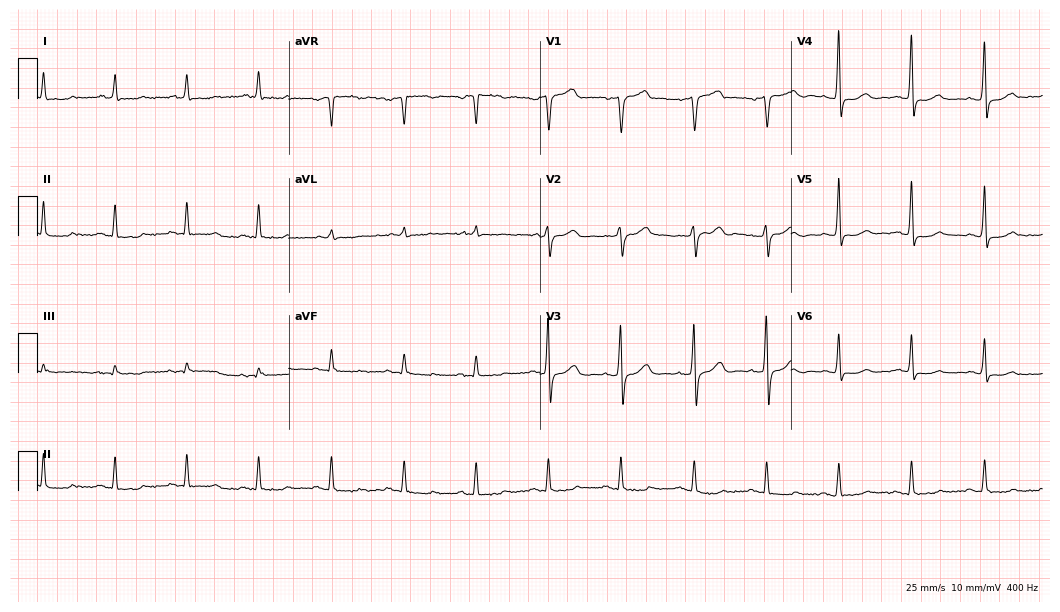
Standard 12-lead ECG recorded from a man, 74 years old (10.2-second recording at 400 Hz). None of these six findings is recorded: first-degree AV block, right bundle branch block, left bundle branch block, sinus bradycardia, atrial fibrillation, sinus tachycardia. Findings outside these six are not listed.